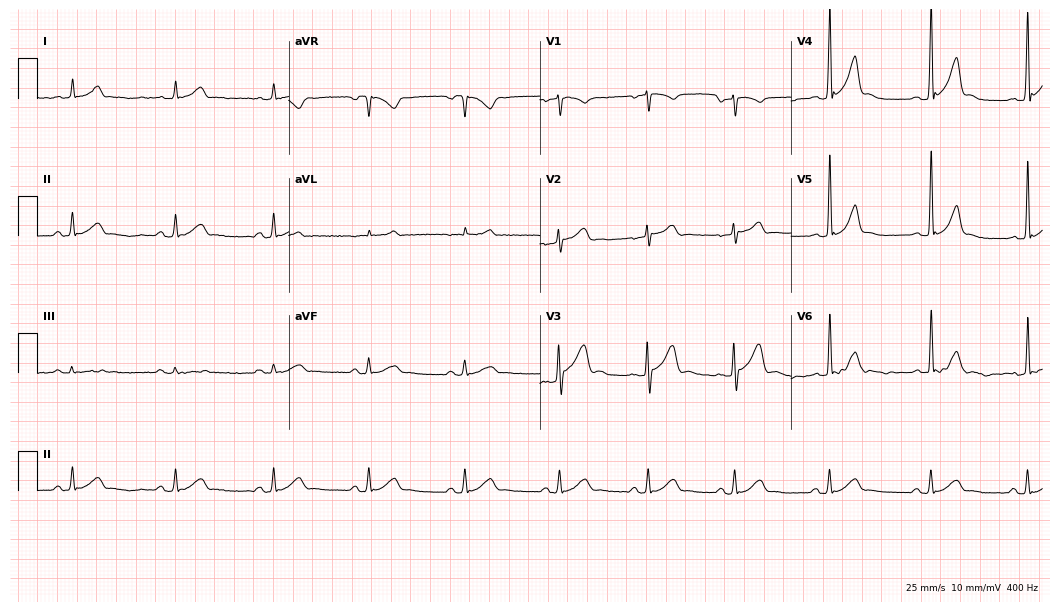
12-lead ECG (10.2-second recording at 400 Hz) from a 30-year-old male. Labelled as a normal ECG.